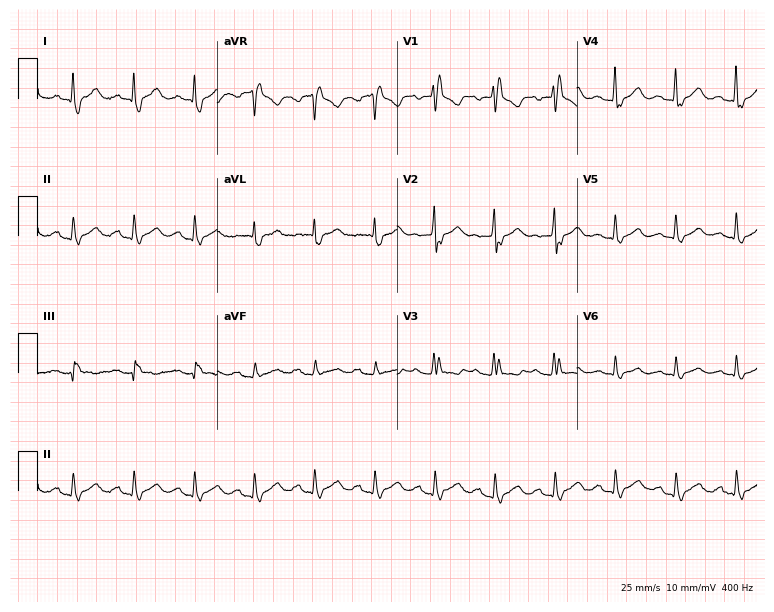
Resting 12-lead electrocardiogram. Patient: a 38-year-old female. The tracing shows right bundle branch block.